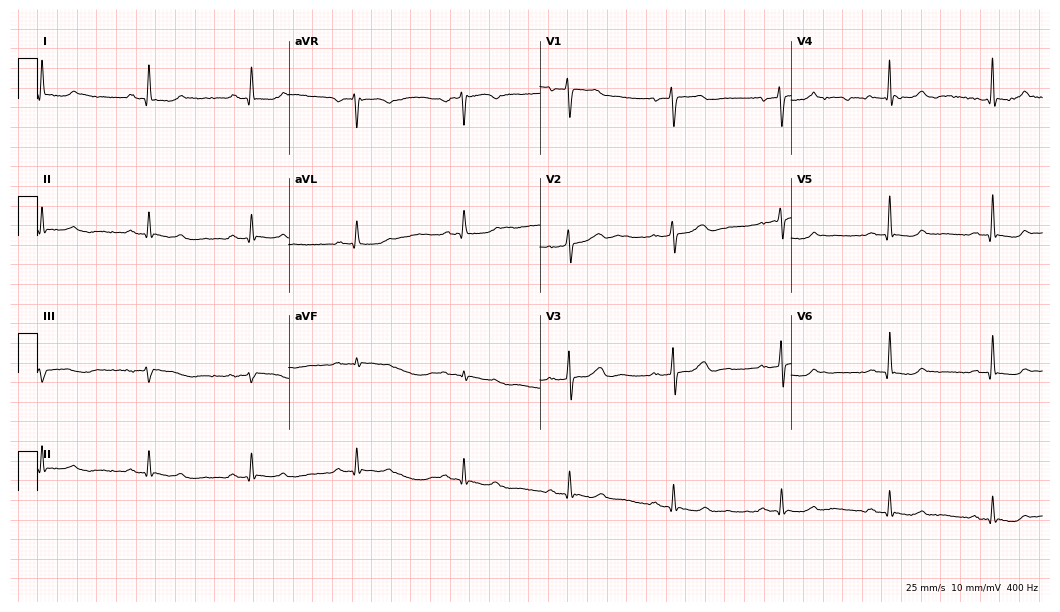
Standard 12-lead ECG recorded from a female patient, 58 years old. Read as a normal ECG.